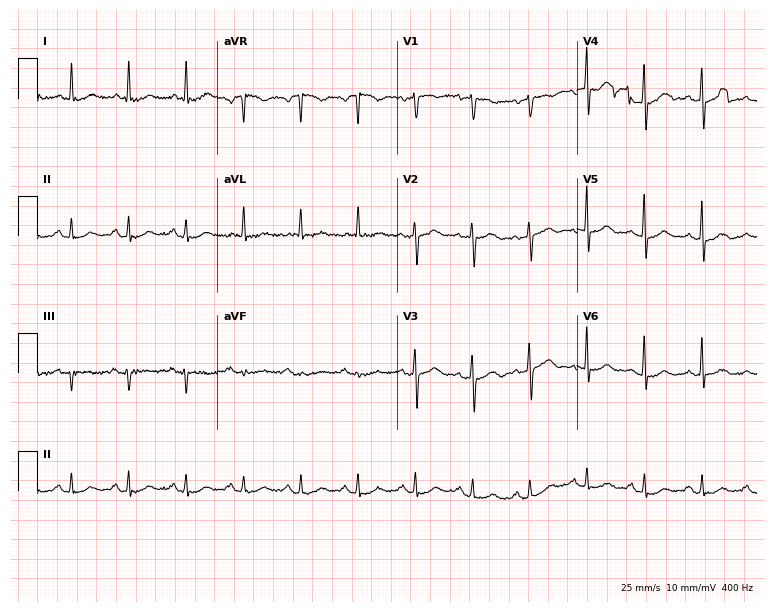
12-lead ECG from a 65-year-old female patient (7.3-second recording at 400 Hz). No first-degree AV block, right bundle branch block, left bundle branch block, sinus bradycardia, atrial fibrillation or sinus tachycardia recorded for this tracing.